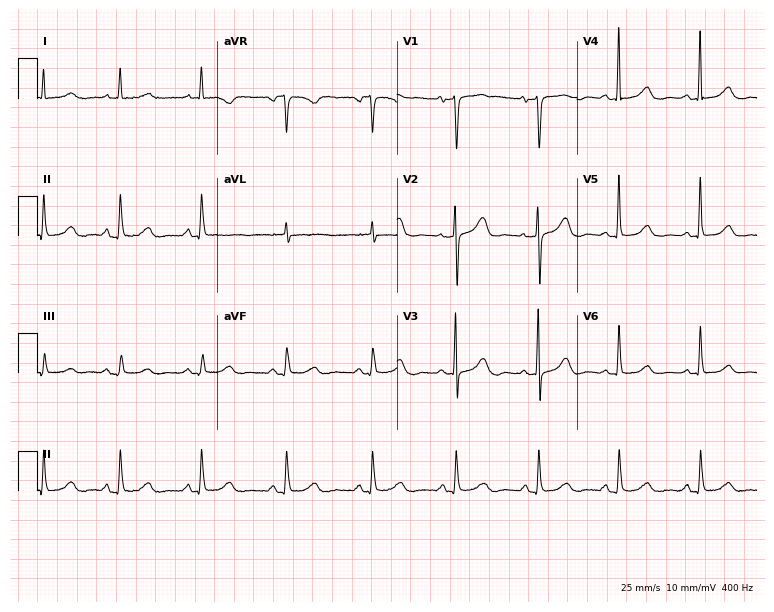
Electrocardiogram (7.3-second recording at 400 Hz), a female patient, 73 years old. Overall reading on record: normal ECG.